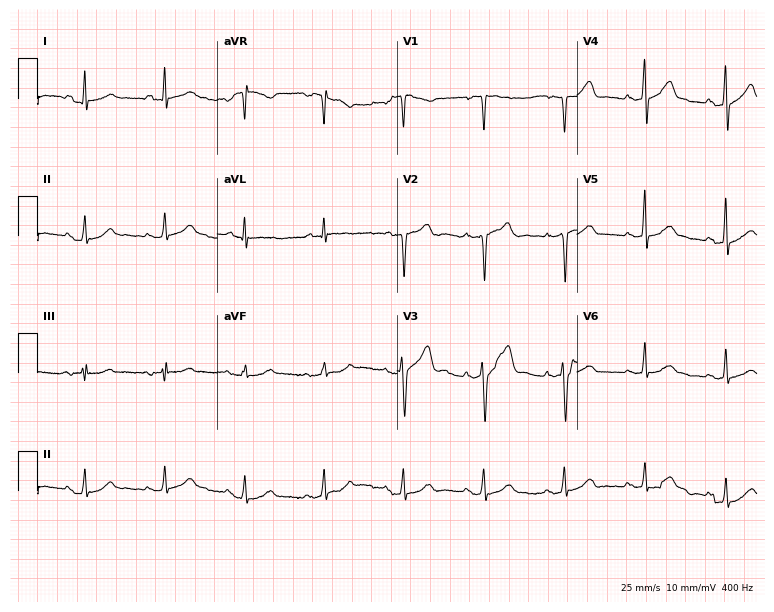
ECG — a male, 64 years old. Labelled as a normal ECG.